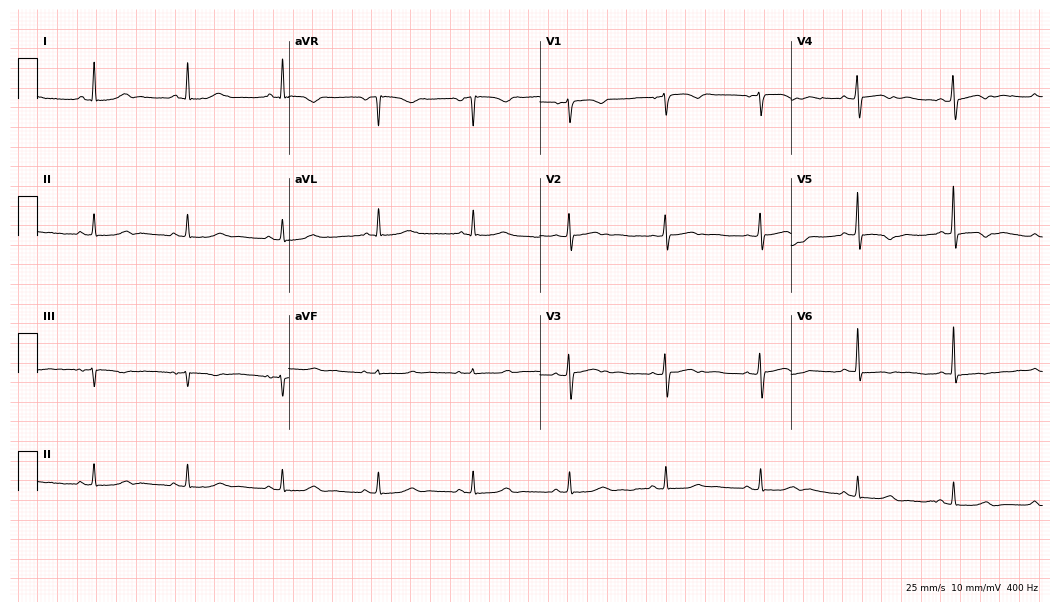
12-lead ECG from a female, 56 years old. No first-degree AV block, right bundle branch block, left bundle branch block, sinus bradycardia, atrial fibrillation or sinus tachycardia recorded for this tracing. Only these six findings were labelled.